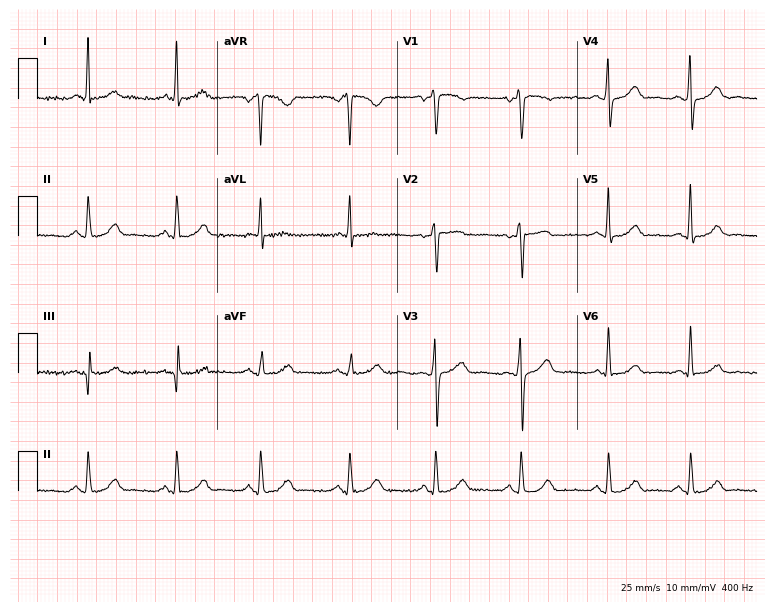
ECG (7.3-second recording at 400 Hz) — a woman, 38 years old. Screened for six findings — first-degree AV block, right bundle branch block, left bundle branch block, sinus bradycardia, atrial fibrillation, sinus tachycardia — none is recorded. Findings outside these six are not listed.